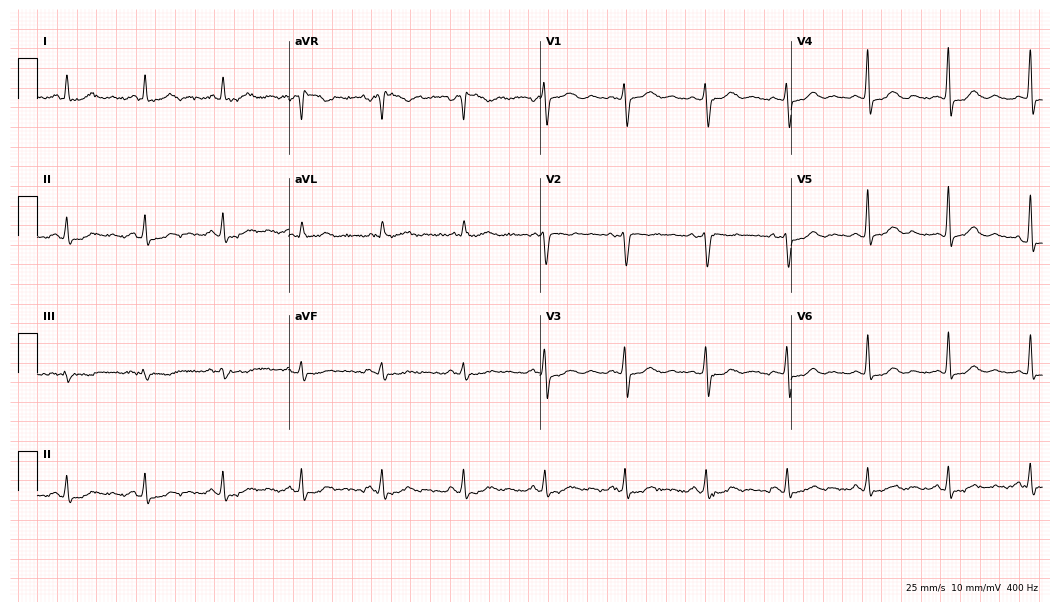
Standard 12-lead ECG recorded from a woman, 52 years old. Read as a normal ECG.